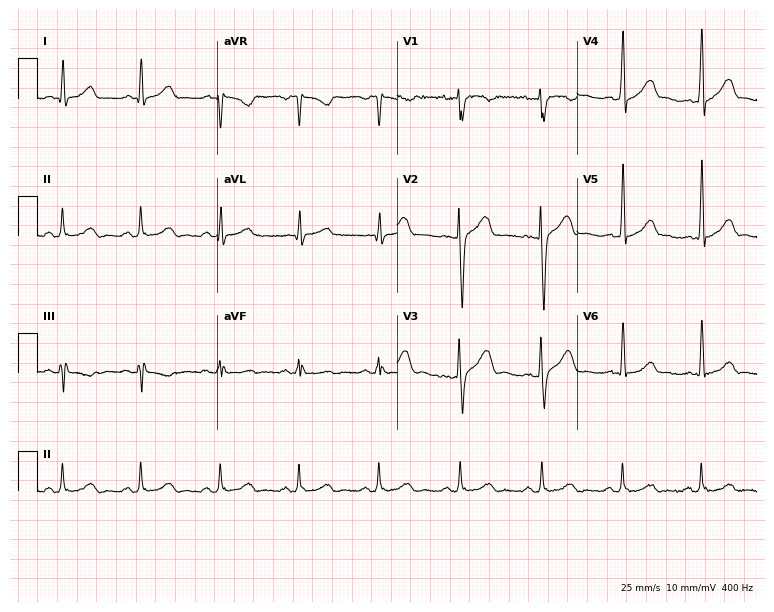
ECG (7.3-second recording at 400 Hz) — a male, 37 years old. Labelled as a normal ECG.